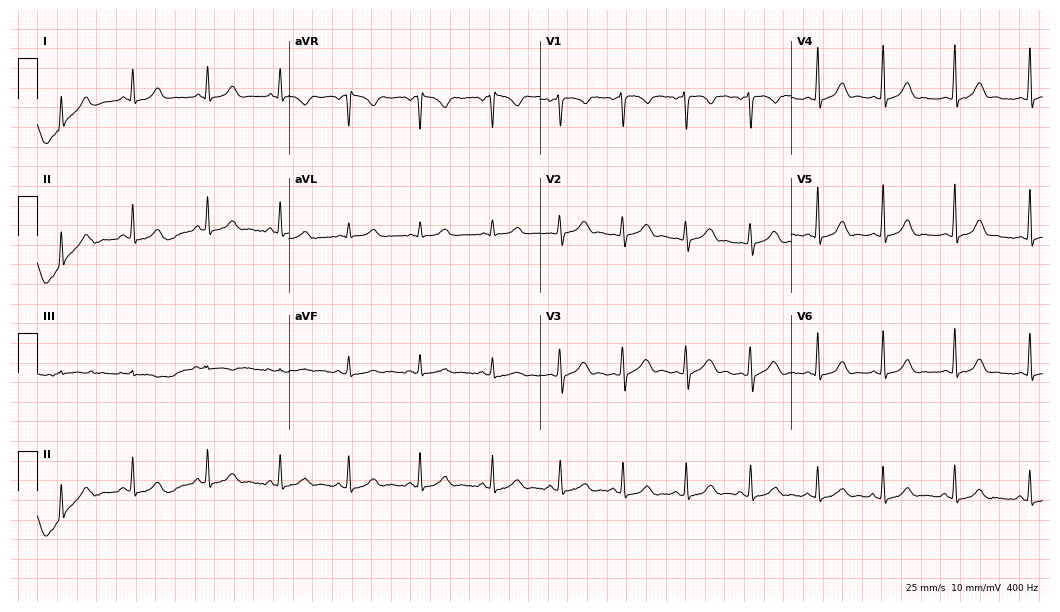
Resting 12-lead electrocardiogram. Patient: a female, 20 years old. Read as a normal ECG.